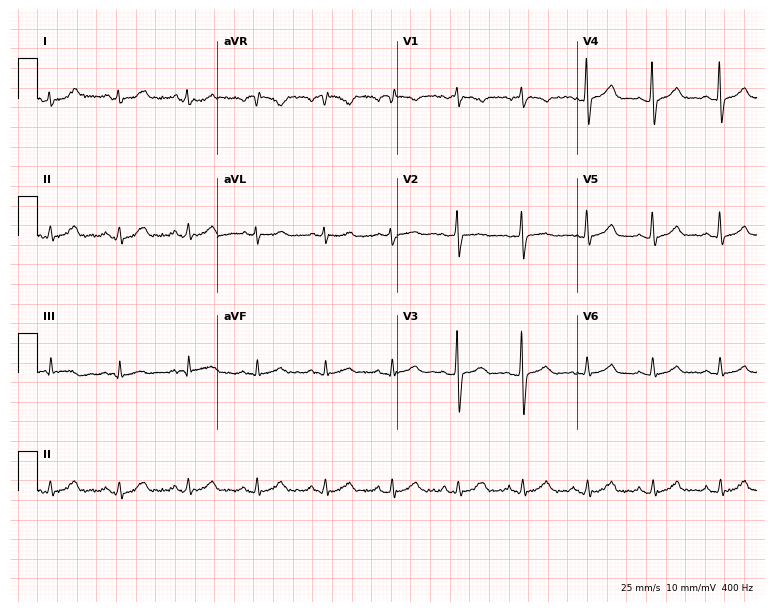
ECG — a woman, 31 years old. Labelled as a normal ECG.